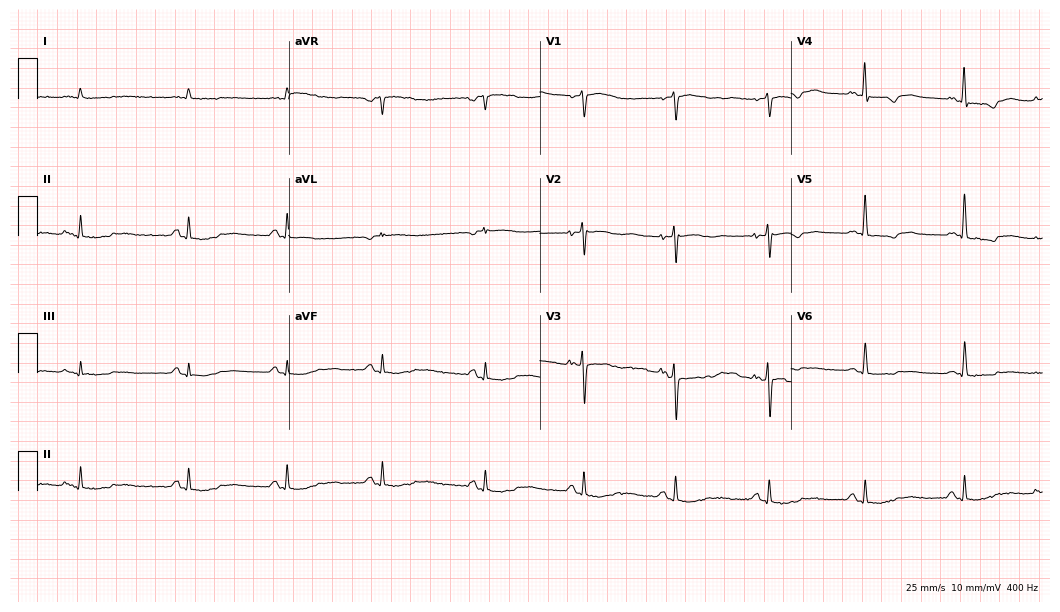
12-lead ECG from a male, 80 years old. No first-degree AV block, right bundle branch block, left bundle branch block, sinus bradycardia, atrial fibrillation or sinus tachycardia recorded for this tracing.